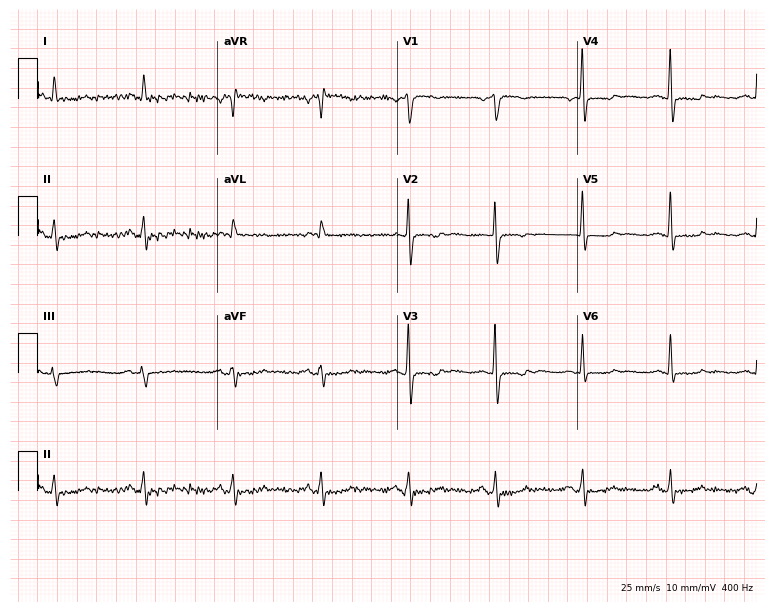
Resting 12-lead electrocardiogram (7.3-second recording at 400 Hz). Patient: a male, 75 years old. None of these six findings is recorded: first-degree AV block, right bundle branch block, left bundle branch block, sinus bradycardia, atrial fibrillation, sinus tachycardia. Other findings, if any, are not listed.